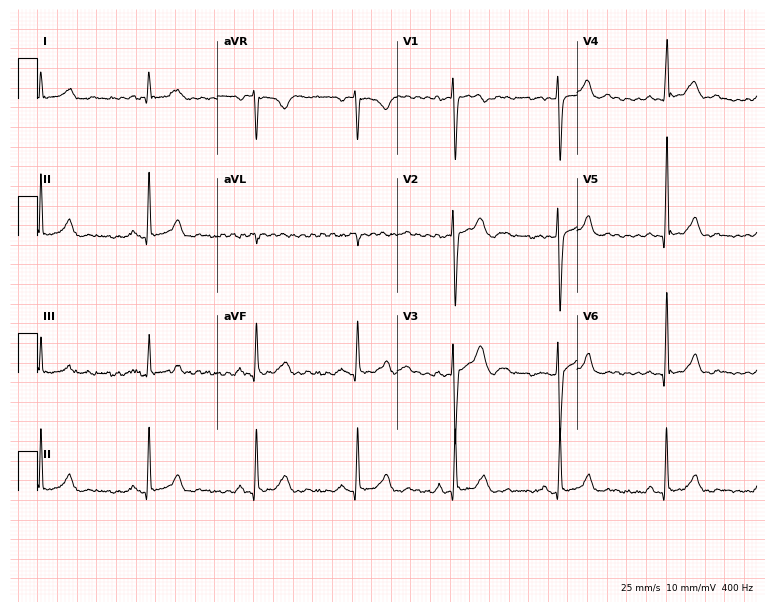
12-lead ECG (7.3-second recording at 400 Hz) from a 25-year-old male patient. Labelled as a normal ECG.